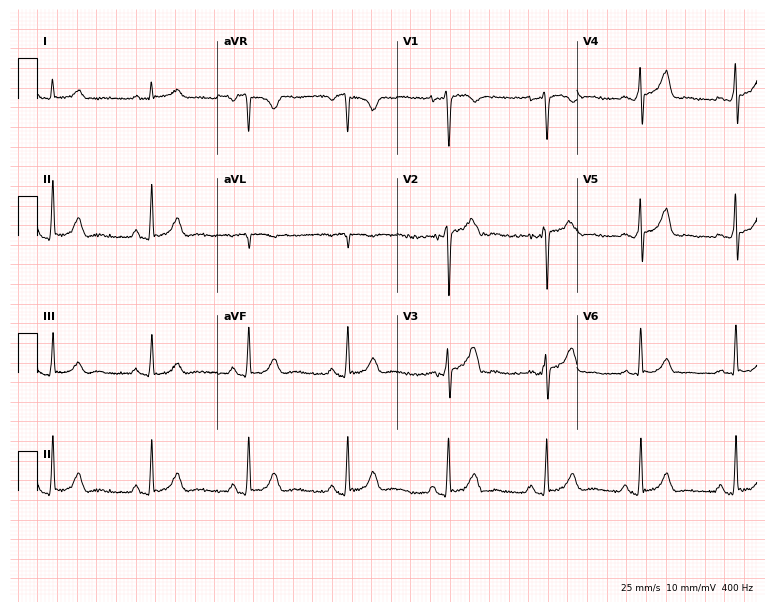
Electrocardiogram, a man, 44 years old. Overall reading on record: normal ECG.